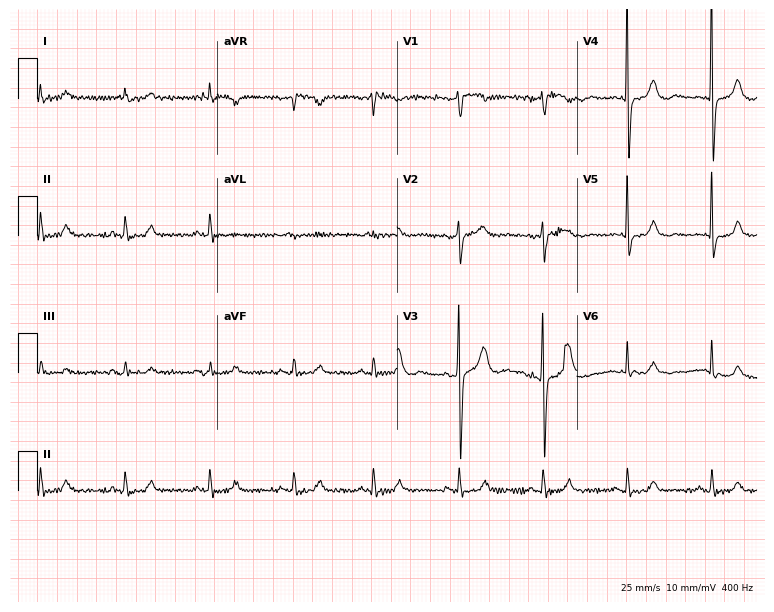
Electrocardiogram, a woman, 85 years old. Overall reading on record: normal ECG.